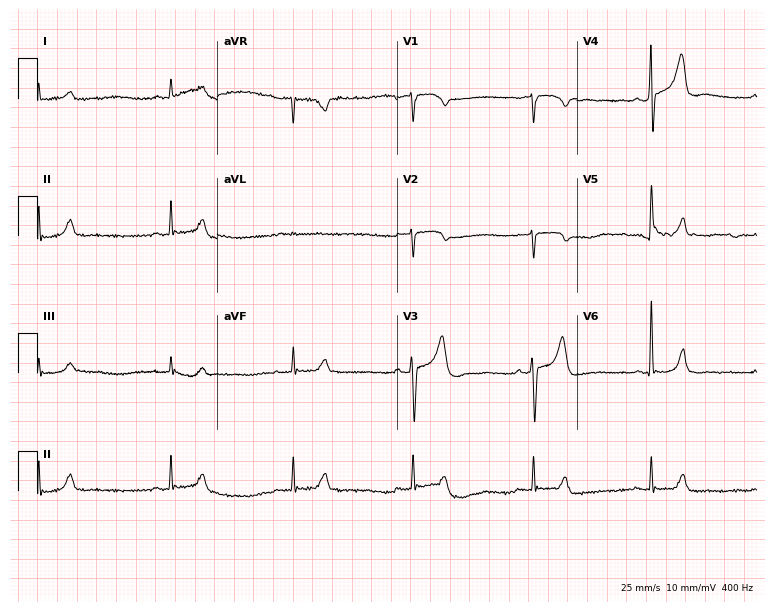
Electrocardiogram (7.3-second recording at 400 Hz), a male, 62 years old. Interpretation includes sinus bradycardia (a sinus rate of 50 beats per minute or less).